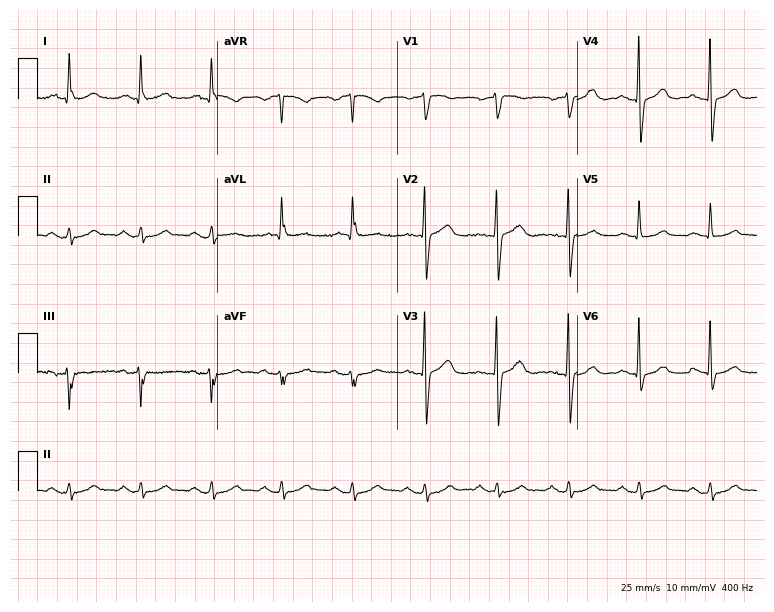
ECG — an 80-year-old female. Labelled as a normal ECG.